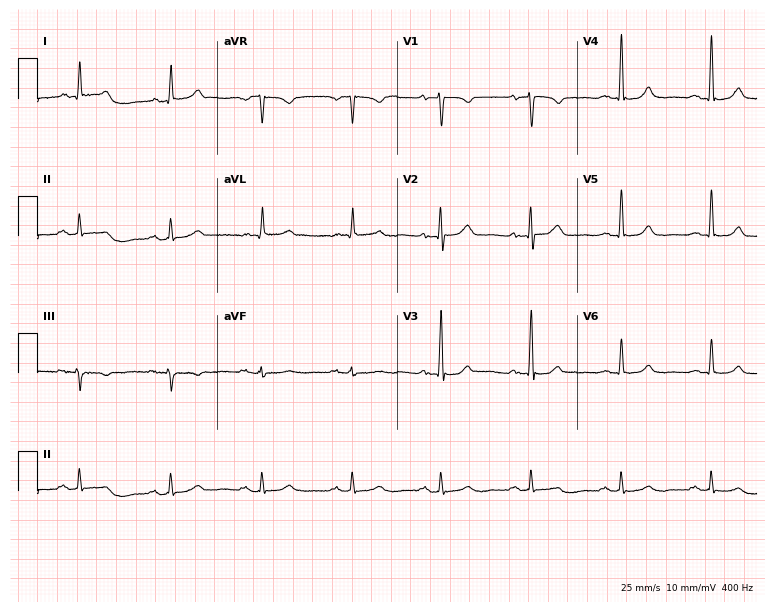
Standard 12-lead ECG recorded from a woman, 59 years old (7.3-second recording at 400 Hz). Read as a normal ECG.